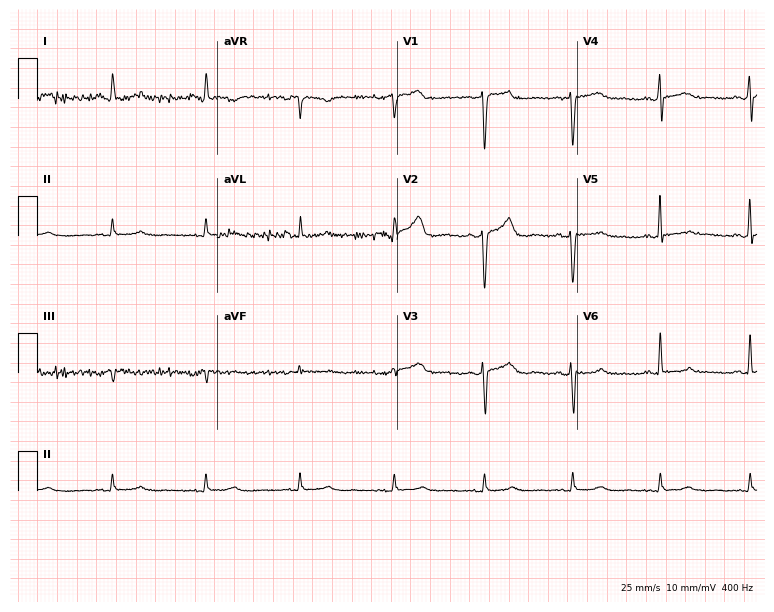
12-lead ECG from a 46-year-old female. Screened for six findings — first-degree AV block, right bundle branch block, left bundle branch block, sinus bradycardia, atrial fibrillation, sinus tachycardia — none is recorded. Other findings, if any, are not listed.